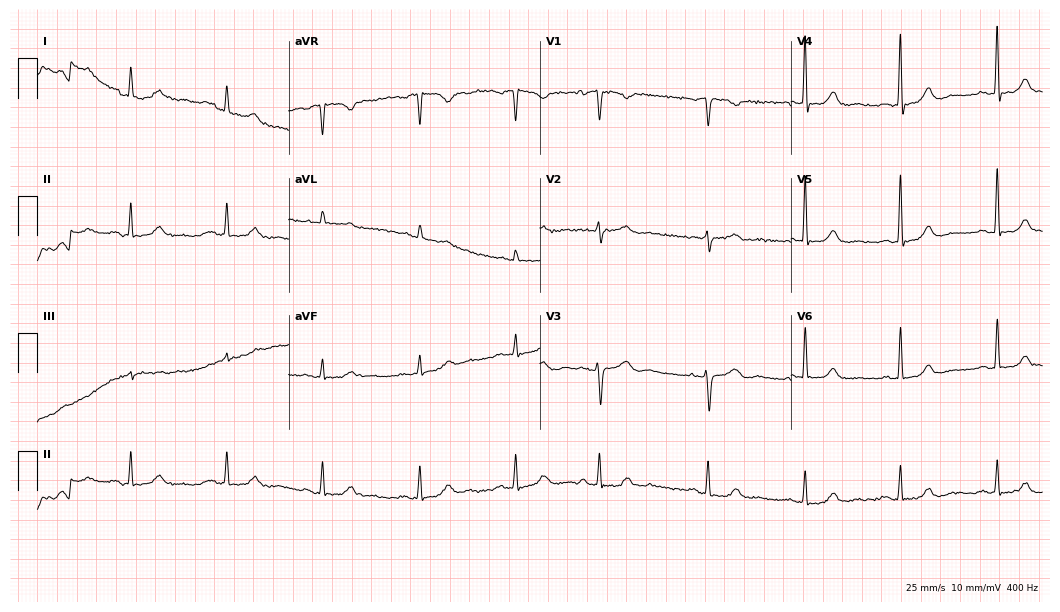
Resting 12-lead electrocardiogram (10.2-second recording at 400 Hz). Patient: a 79-year-old man. None of these six findings is recorded: first-degree AV block, right bundle branch block, left bundle branch block, sinus bradycardia, atrial fibrillation, sinus tachycardia.